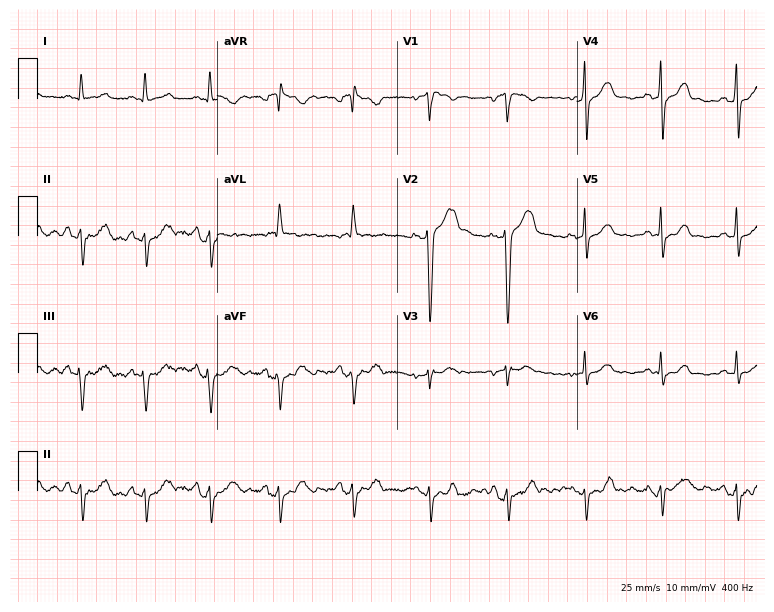
12-lead ECG from a 46-year-old man. No first-degree AV block, right bundle branch block (RBBB), left bundle branch block (LBBB), sinus bradycardia, atrial fibrillation (AF) or sinus tachycardia recorded for this tracing.